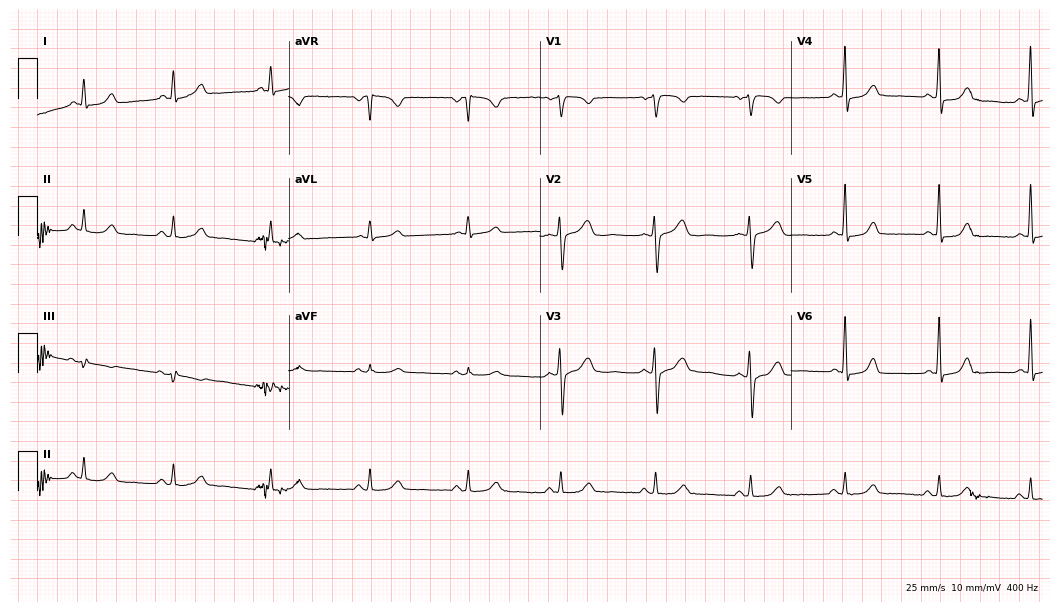
Electrocardiogram, a female, 45 years old. Overall reading on record: normal ECG.